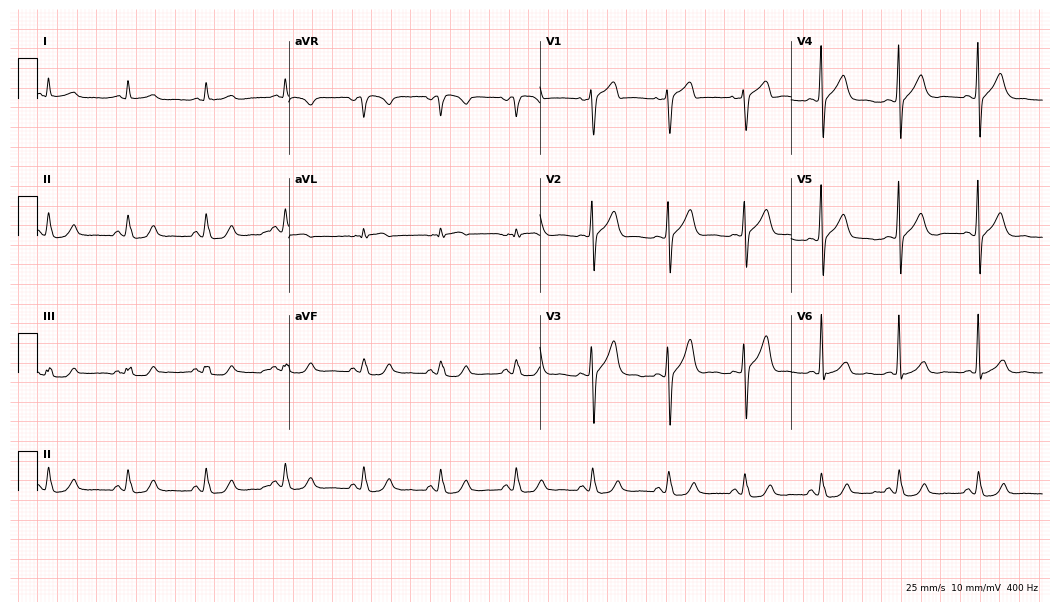
12-lead ECG from a man, 44 years old. Screened for six findings — first-degree AV block, right bundle branch block, left bundle branch block, sinus bradycardia, atrial fibrillation, sinus tachycardia — none is recorded. Only these six findings were labelled.